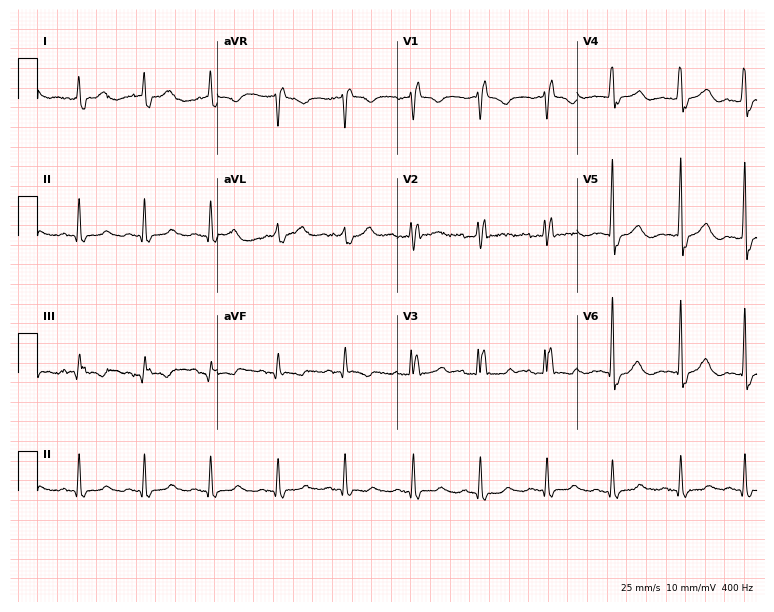
12-lead ECG from a 75-year-old female. Shows right bundle branch block.